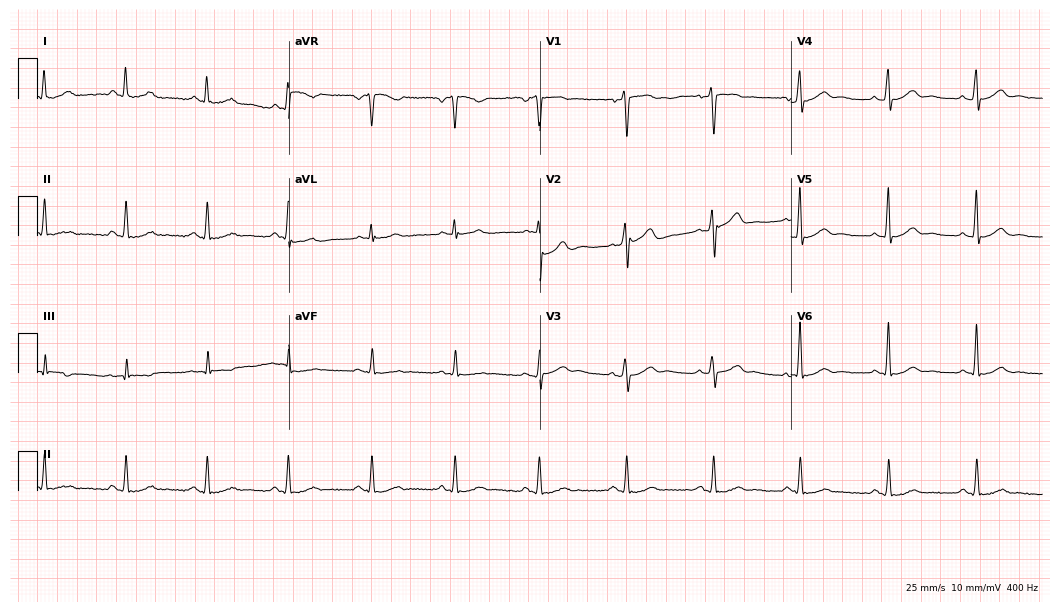
Electrocardiogram, a 45-year-old male. Of the six screened findings (first-degree AV block, right bundle branch block, left bundle branch block, sinus bradycardia, atrial fibrillation, sinus tachycardia), none is recorded.